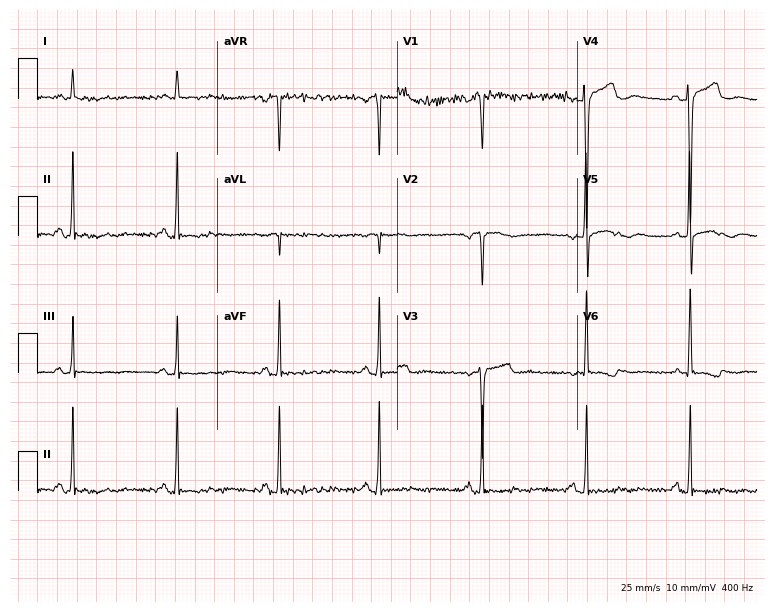
ECG (7.3-second recording at 400 Hz) — a 58-year-old man. Screened for six findings — first-degree AV block, right bundle branch block, left bundle branch block, sinus bradycardia, atrial fibrillation, sinus tachycardia — none is recorded. Other findings, if any, are not listed.